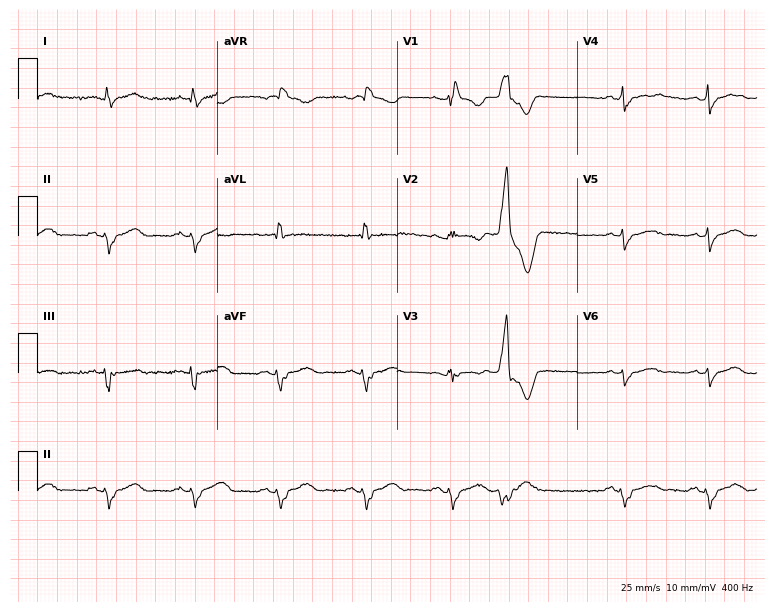
ECG — a female patient, 42 years old. Findings include right bundle branch block.